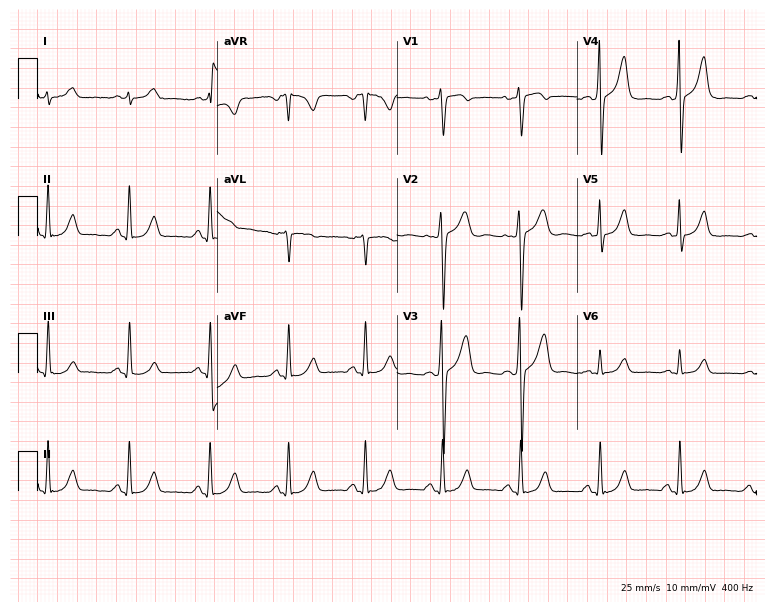
Standard 12-lead ECG recorded from a 31-year-old male patient (7.3-second recording at 400 Hz). None of these six findings is recorded: first-degree AV block, right bundle branch block (RBBB), left bundle branch block (LBBB), sinus bradycardia, atrial fibrillation (AF), sinus tachycardia. Other findings, if any, are not listed.